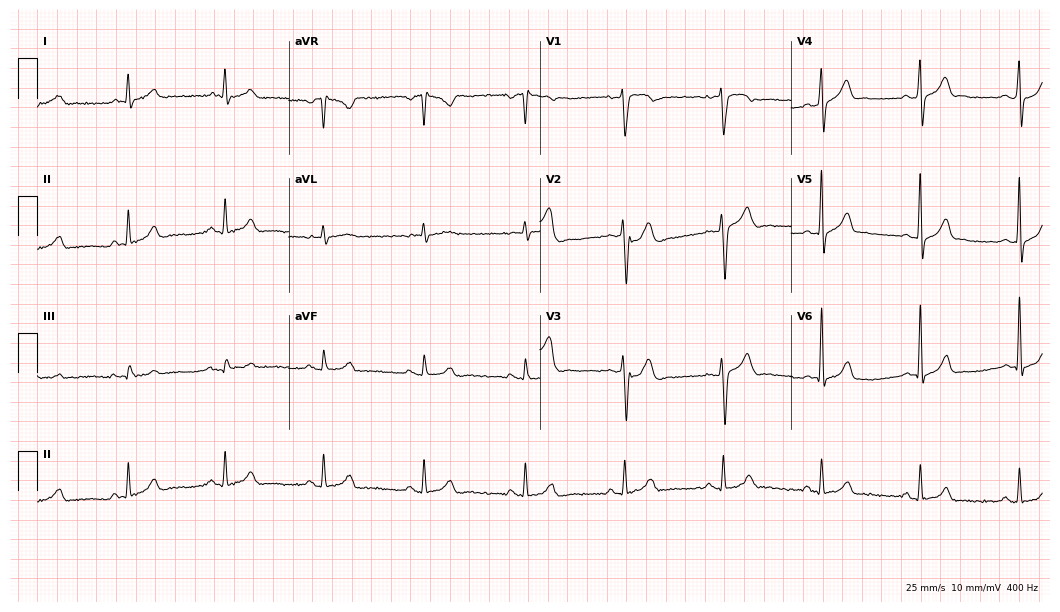
12-lead ECG (10.2-second recording at 400 Hz) from a male patient, 30 years old. Labelled as a normal ECG.